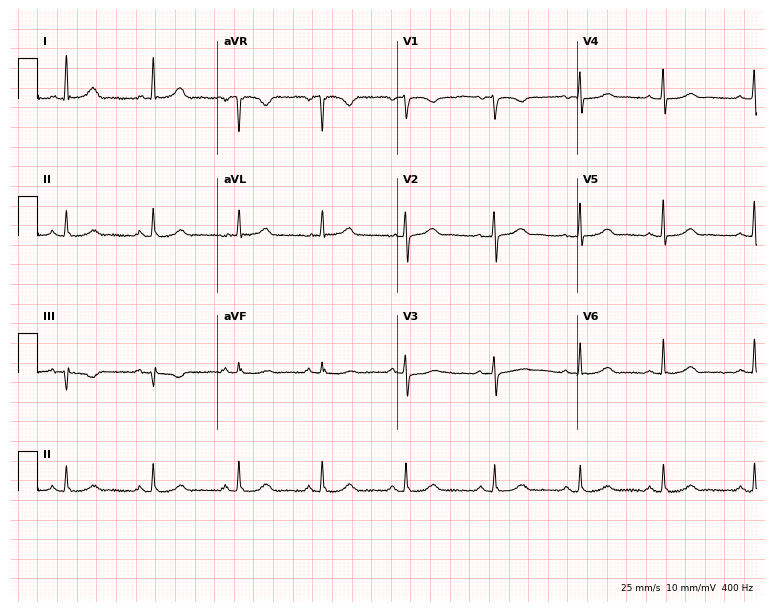
Electrocardiogram, a 69-year-old woman. Overall reading on record: normal ECG.